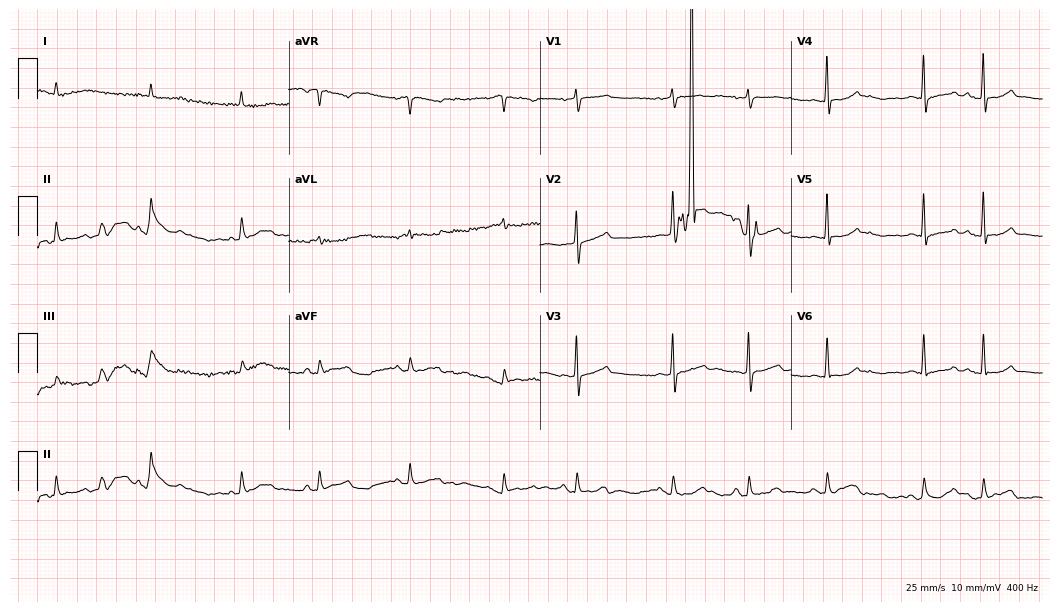
Electrocardiogram, an 80-year-old female patient. Of the six screened findings (first-degree AV block, right bundle branch block, left bundle branch block, sinus bradycardia, atrial fibrillation, sinus tachycardia), none is recorded. Only these six findings were labelled.